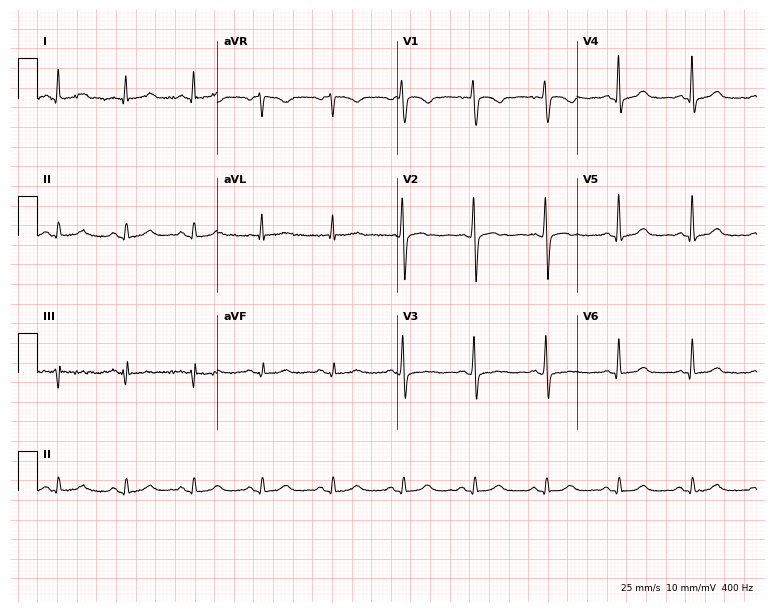
12-lead ECG from a woman, 44 years old (7.3-second recording at 400 Hz). Recorded interpretation: within normal limits.